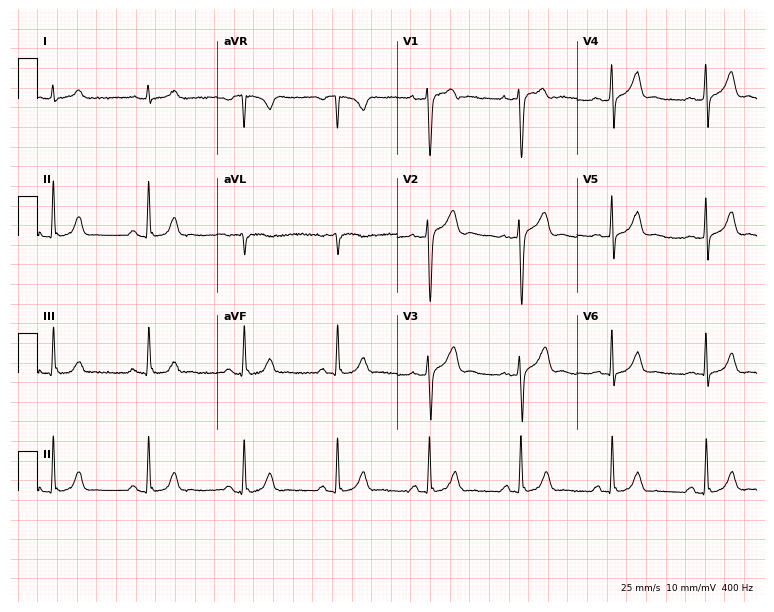
Electrocardiogram, a 49-year-old female patient. Of the six screened findings (first-degree AV block, right bundle branch block, left bundle branch block, sinus bradycardia, atrial fibrillation, sinus tachycardia), none is recorded.